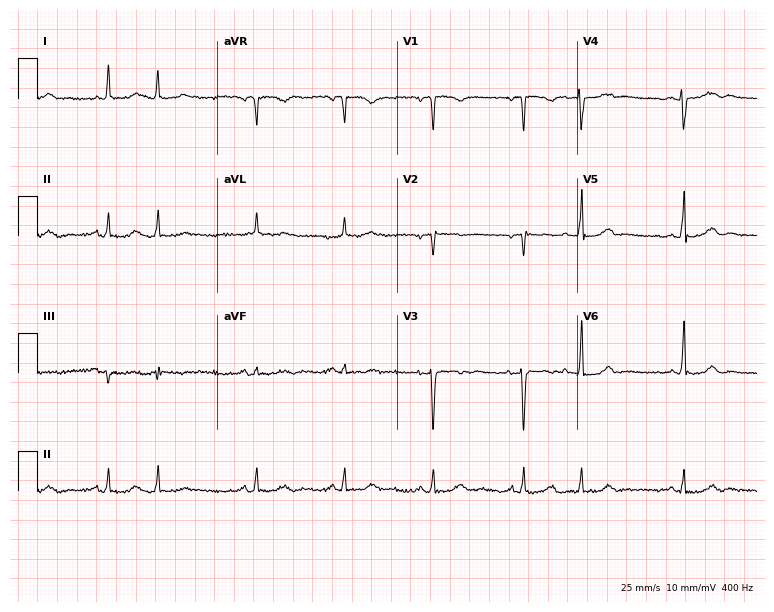
Electrocardiogram (7.3-second recording at 400 Hz), a female, 69 years old. Of the six screened findings (first-degree AV block, right bundle branch block, left bundle branch block, sinus bradycardia, atrial fibrillation, sinus tachycardia), none is recorded. Only these six findings were labelled.